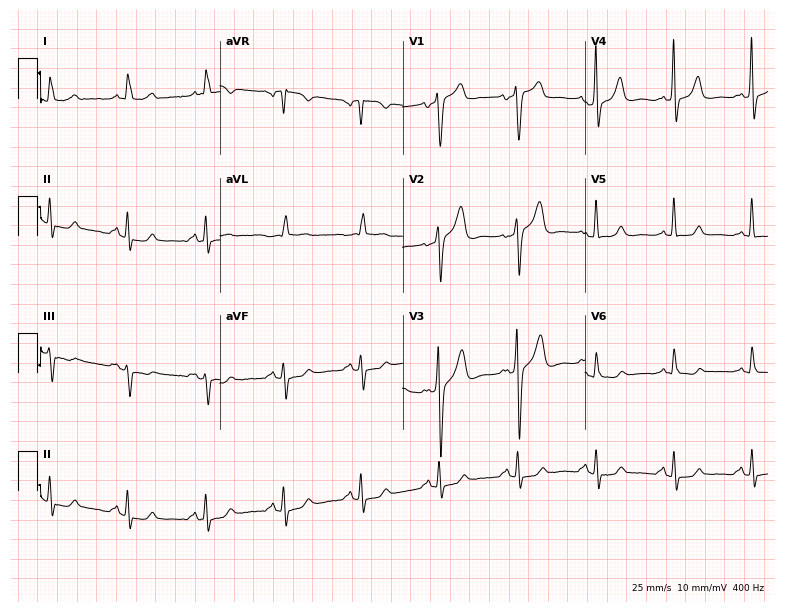
Standard 12-lead ECG recorded from a 61-year-old male (7.4-second recording at 400 Hz). None of these six findings is recorded: first-degree AV block, right bundle branch block, left bundle branch block, sinus bradycardia, atrial fibrillation, sinus tachycardia. Findings outside these six are not listed.